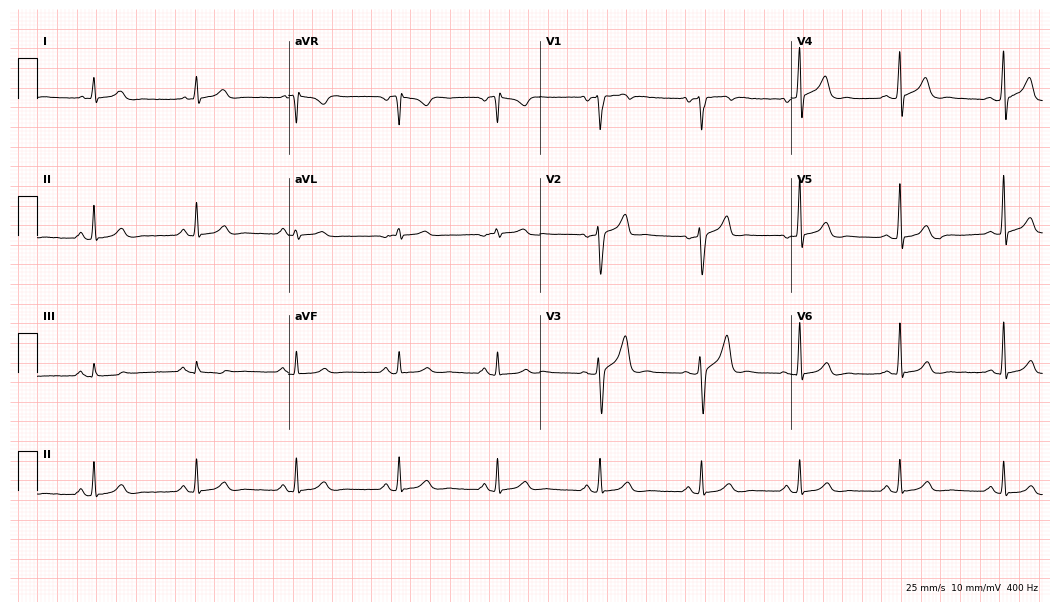
Electrocardiogram (10.2-second recording at 400 Hz), a 47-year-old male. Overall reading on record: normal ECG.